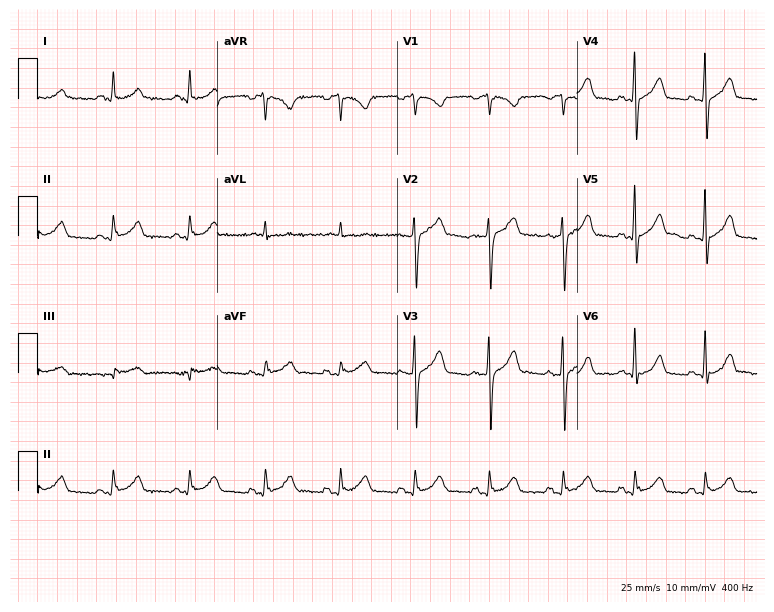
12-lead ECG (7.3-second recording at 400 Hz) from a 48-year-old male patient. Labelled as a normal ECG.